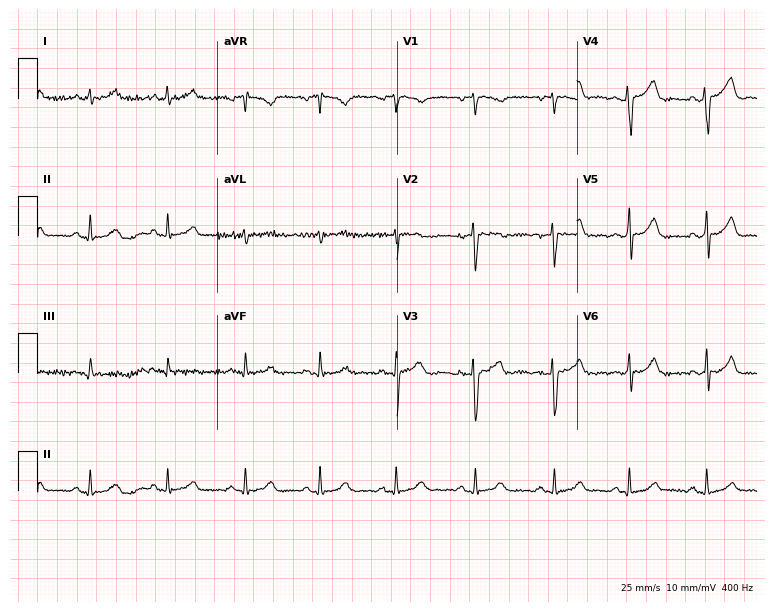
12-lead ECG from a woman, 42 years old (7.3-second recording at 400 Hz). No first-degree AV block, right bundle branch block (RBBB), left bundle branch block (LBBB), sinus bradycardia, atrial fibrillation (AF) or sinus tachycardia recorded for this tracing.